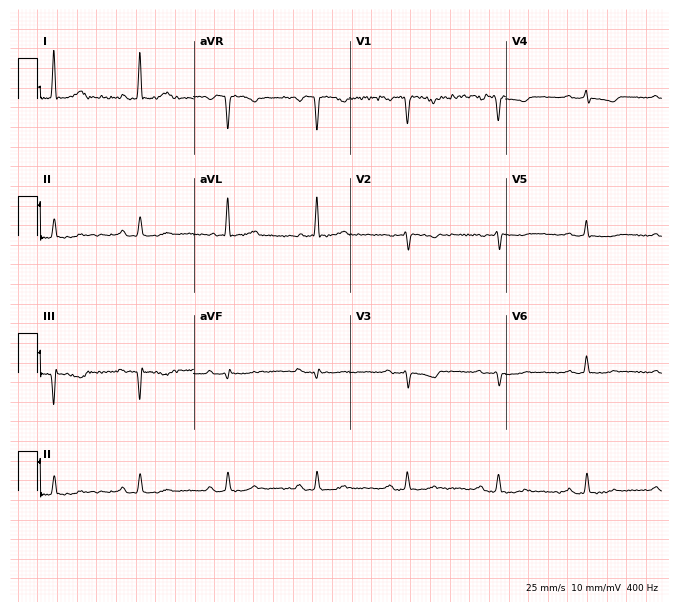
Electrocardiogram, a woman, 52 years old. Of the six screened findings (first-degree AV block, right bundle branch block, left bundle branch block, sinus bradycardia, atrial fibrillation, sinus tachycardia), none is recorded.